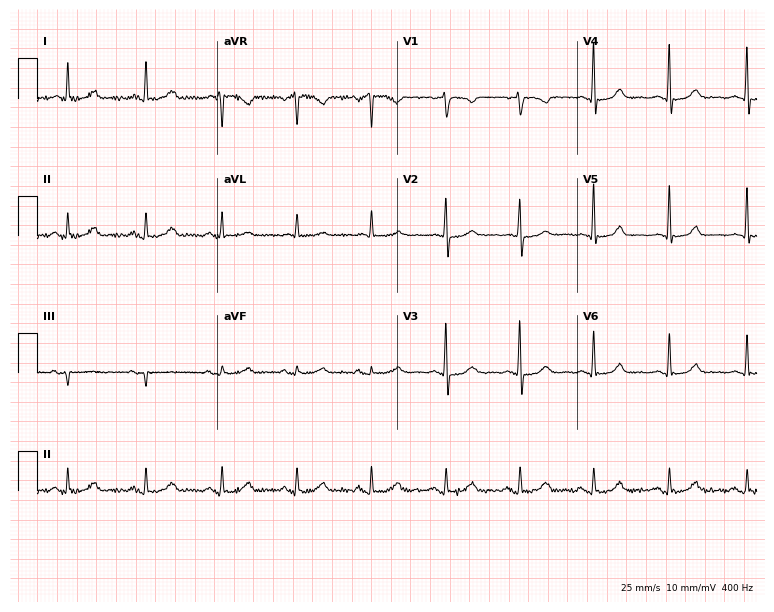
Resting 12-lead electrocardiogram (7.3-second recording at 400 Hz). Patient: a woman, 72 years old. Read as a normal ECG.